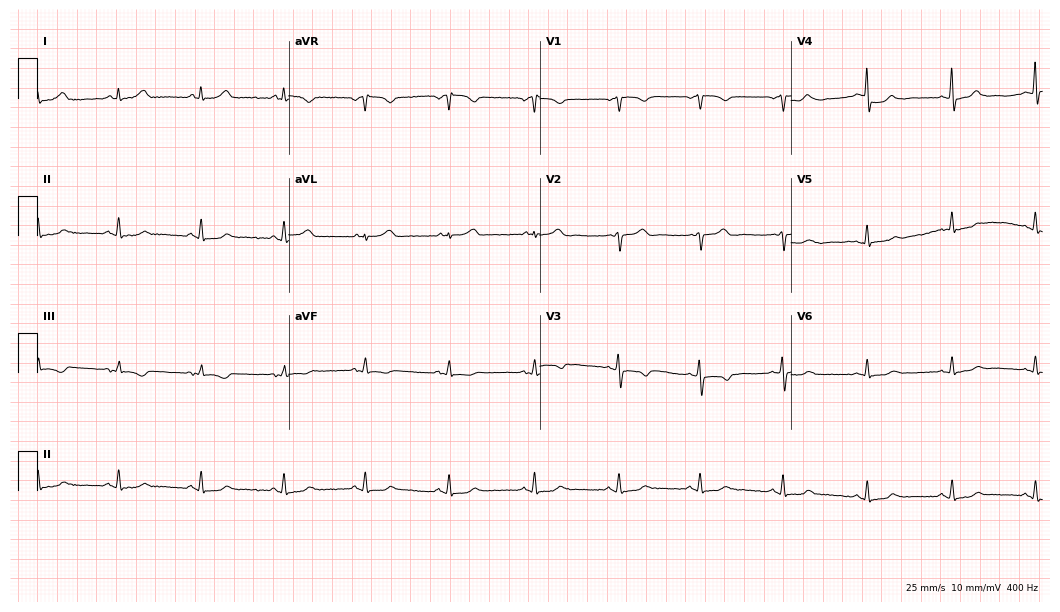
12-lead ECG (10.2-second recording at 400 Hz) from a 51-year-old female. Screened for six findings — first-degree AV block, right bundle branch block (RBBB), left bundle branch block (LBBB), sinus bradycardia, atrial fibrillation (AF), sinus tachycardia — none is recorded.